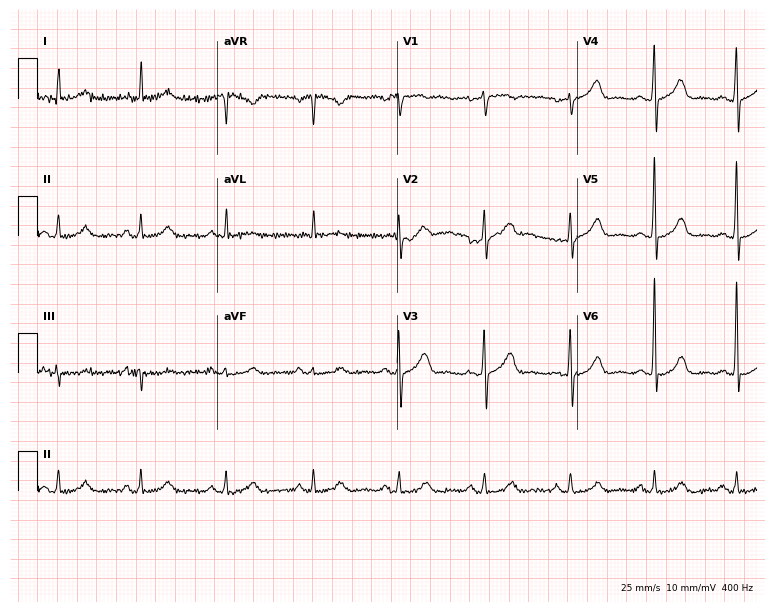
12-lead ECG from a 68-year-old male. No first-degree AV block, right bundle branch block, left bundle branch block, sinus bradycardia, atrial fibrillation or sinus tachycardia recorded for this tracing. Only these six findings were labelled.